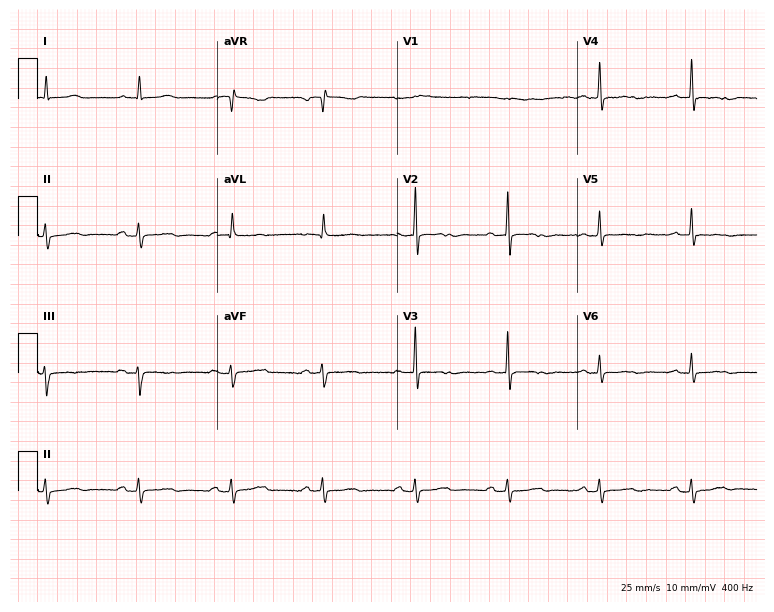
Standard 12-lead ECG recorded from a female patient, 75 years old (7.3-second recording at 400 Hz). None of these six findings is recorded: first-degree AV block, right bundle branch block, left bundle branch block, sinus bradycardia, atrial fibrillation, sinus tachycardia.